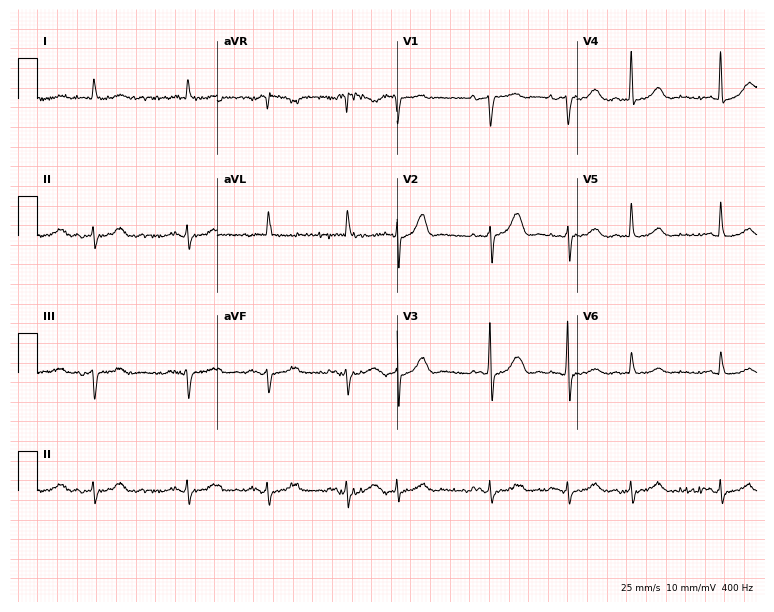
12-lead ECG from an 84-year-old man. No first-degree AV block, right bundle branch block (RBBB), left bundle branch block (LBBB), sinus bradycardia, atrial fibrillation (AF) or sinus tachycardia recorded for this tracing. Only these six findings were labelled.